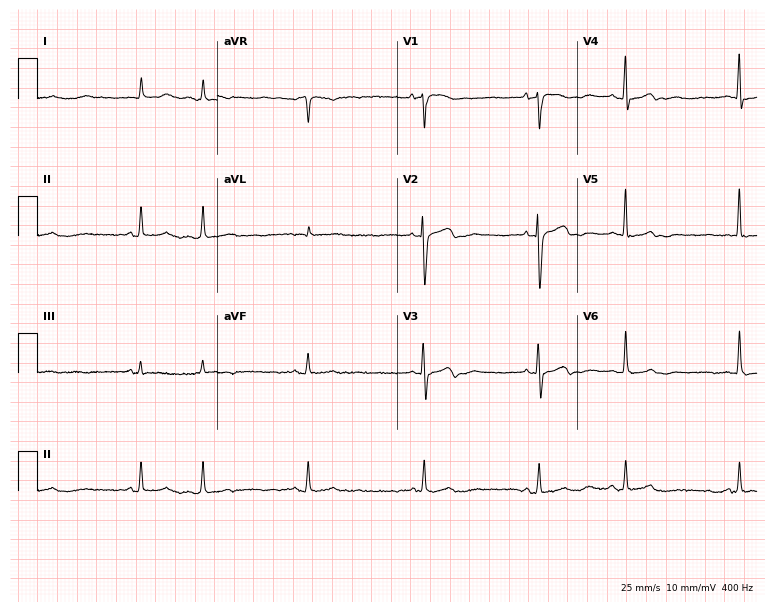
Electrocardiogram, a female patient, 80 years old. Of the six screened findings (first-degree AV block, right bundle branch block (RBBB), left bundle branch block (LBBB), sinus bradycardia, atrial fibrillation (AF), sinus tachycardia), none is recorded.